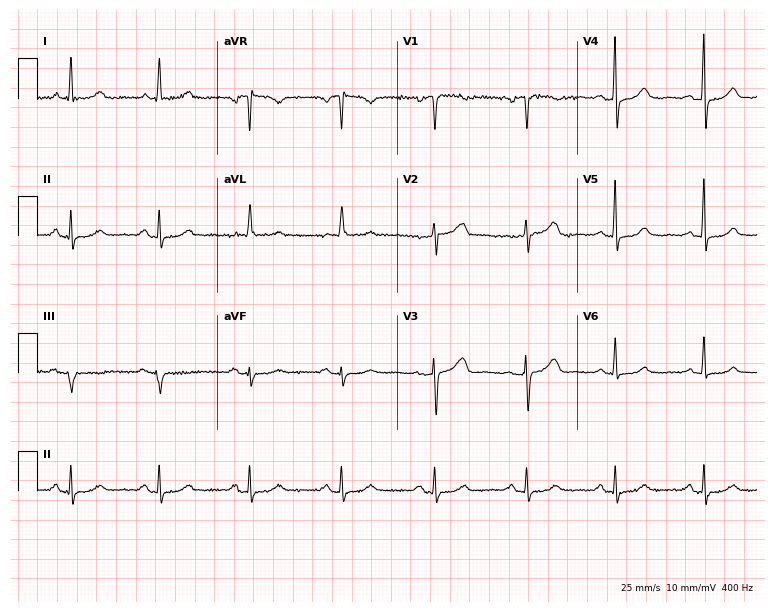
12-lead ECG from a 73-year-old woman (7.3-second recording at 400 Hz). Recorded interpretation: within normal limits.